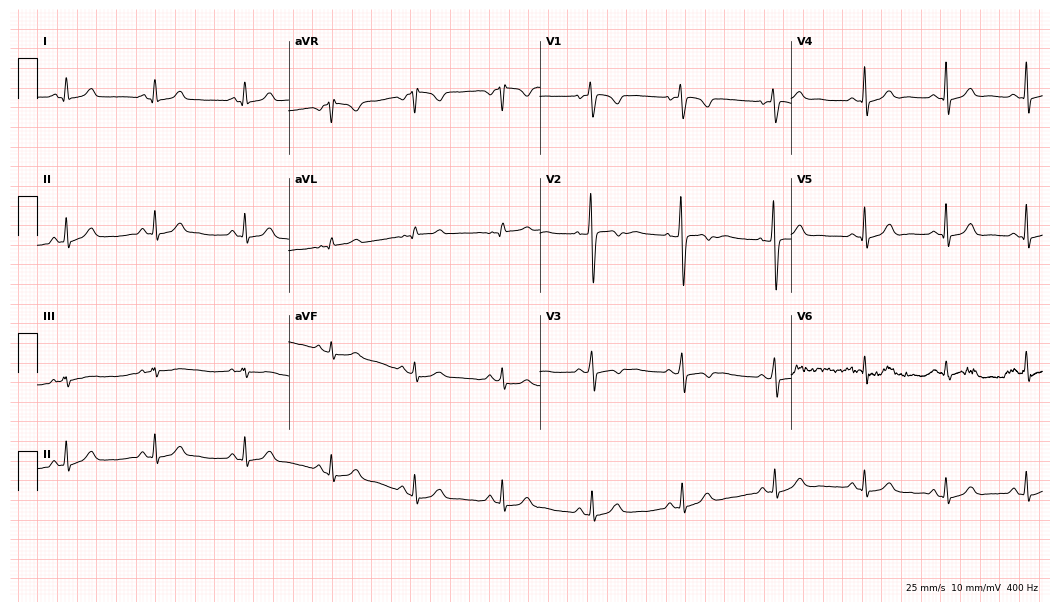
Standard 12-lead ECG recorded from a female, 23 years old (10.2-second recording at 400 Hz). Read as a normal ECG.